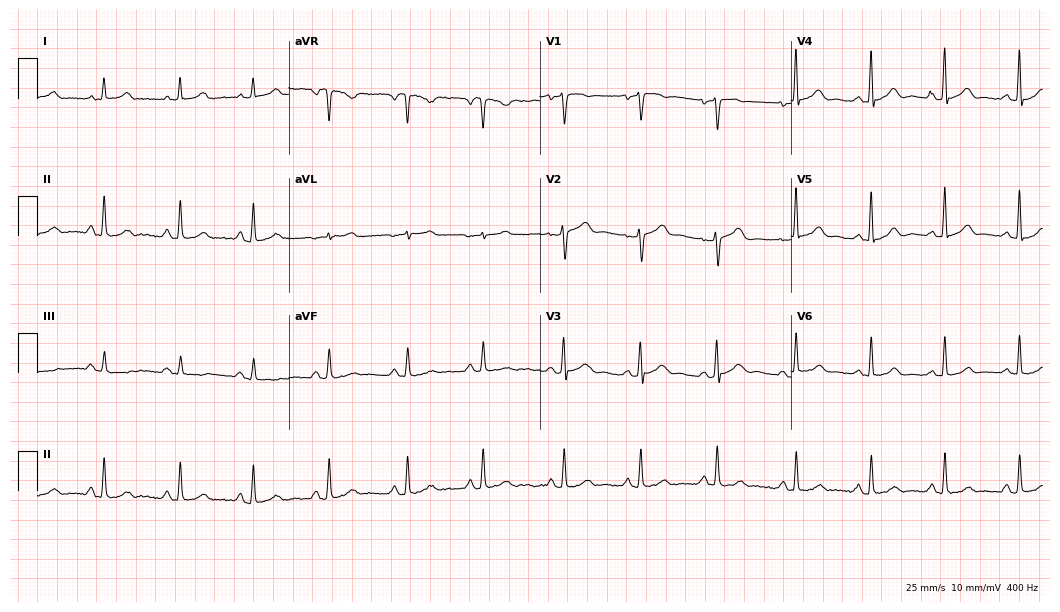
ECG — a 44-year-old female. Labelled as a normal ECG.